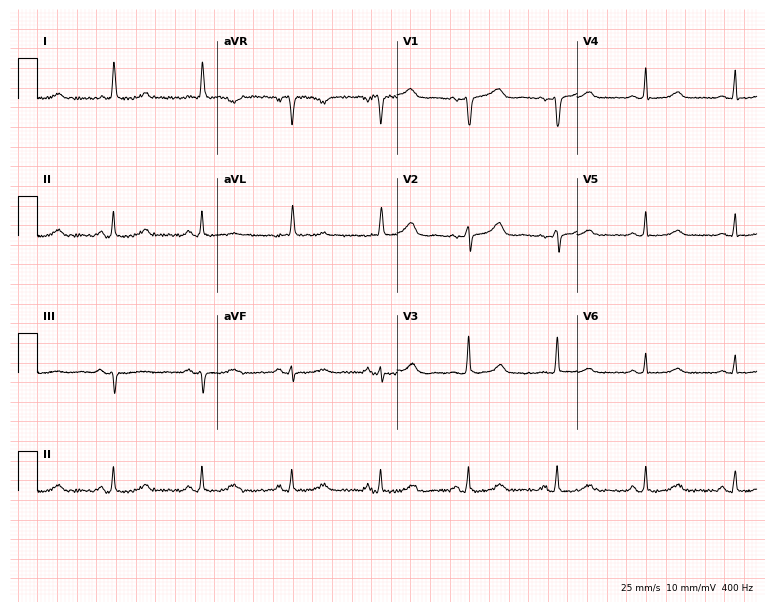
Electrocardiogram, a female, 74 years old. Overall reading on record: normal ECG.